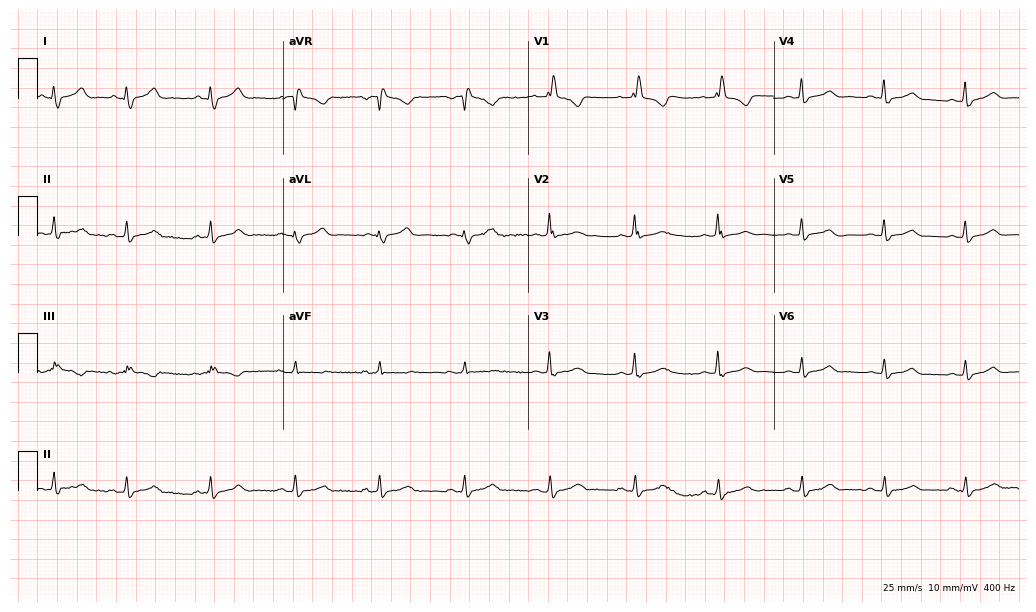
ECG (10-second recording at 400 Hz) — a 57-year-old female. Findings include right bundle branch block.